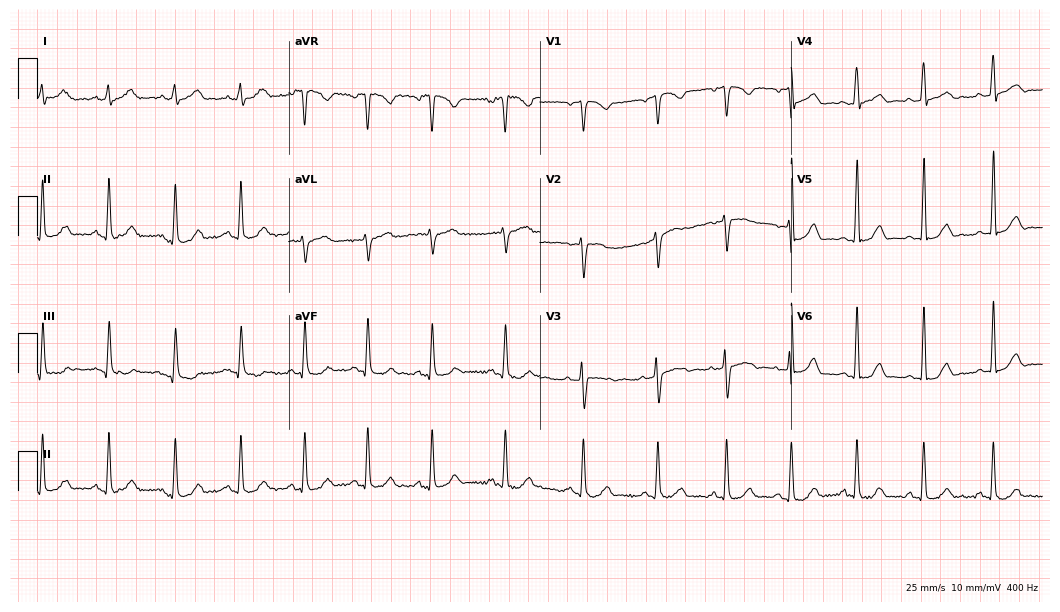
12-lead ECG from a 38-year-old woman. Labelled as a normal ECG.